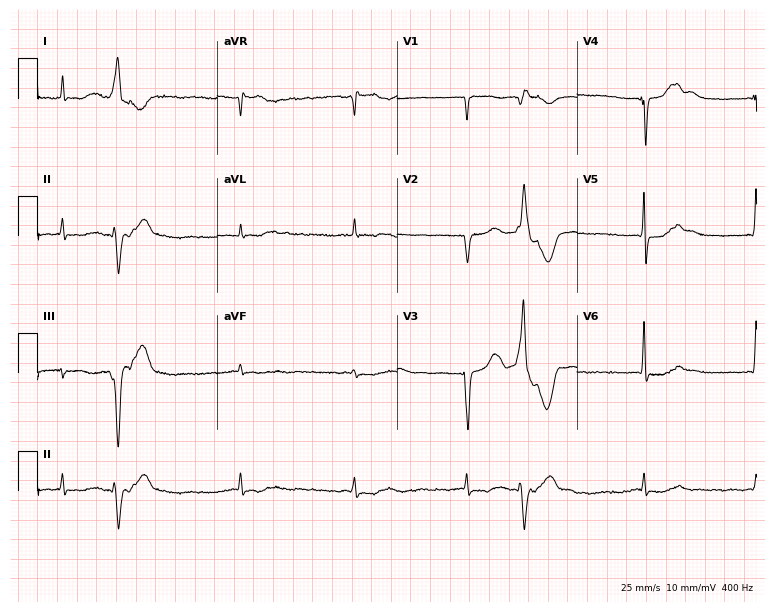
12-lead ECG (7.3-second recording at 400 Hz) from a male, 75 years old. Screened for six findings — first-degree AV block, right bundle branch block, left bundle branch block, sinus bradycardia, atrial fibrillation, sinus tachycardia — none is recorded. Only these six findings were labelled.